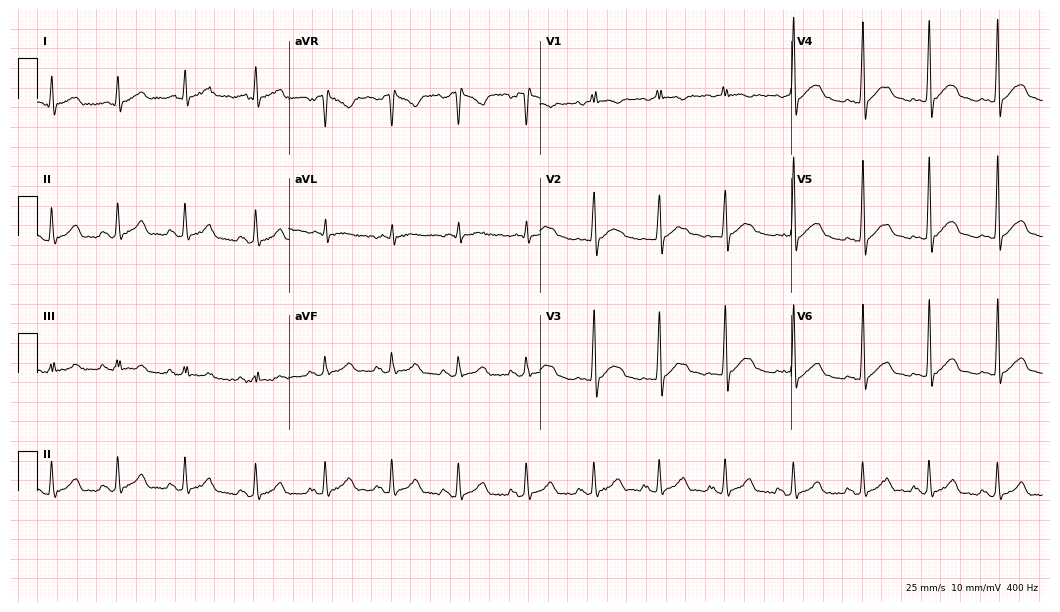
12-lead ECG (10.2-second recording at 400 Hz) from a 24-year-old male patient. Labelled as a normal ECG.